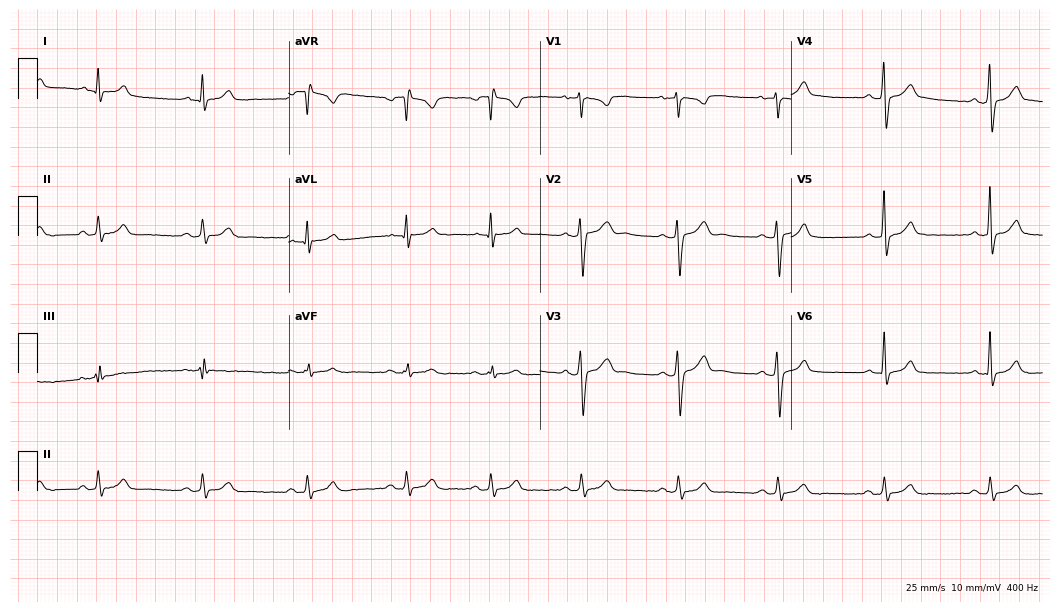
12-lead ECG (10.2-second recording at 400 Hz) from a 30-year-old male patient. Labelled as a normal ECG.